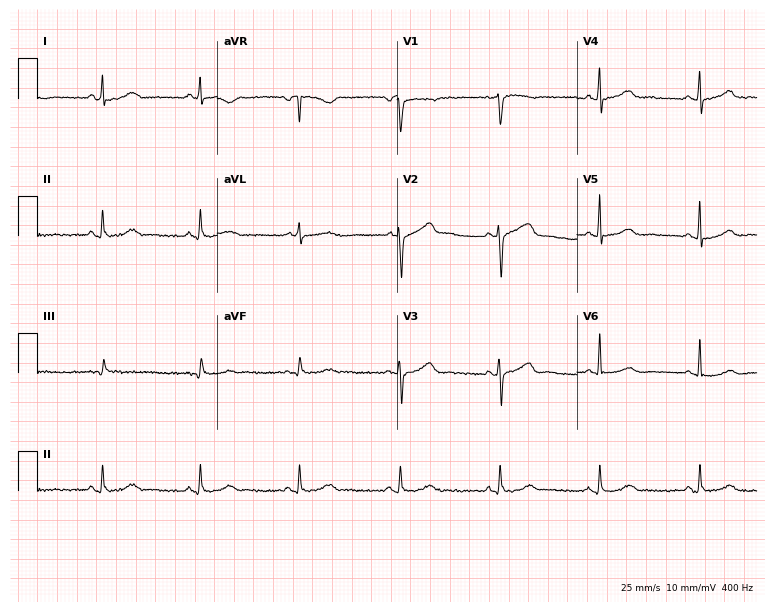
Resting 12-lead electrocardiogram (7.3-second recording at 400 Hz). Patient: a 42-year-old female. None of these six findings is recorded: first-degree AV block, right bundle branch block, left bundle branch block, sinus bradycardia, atrial fibrillation, sinus tachycardia.